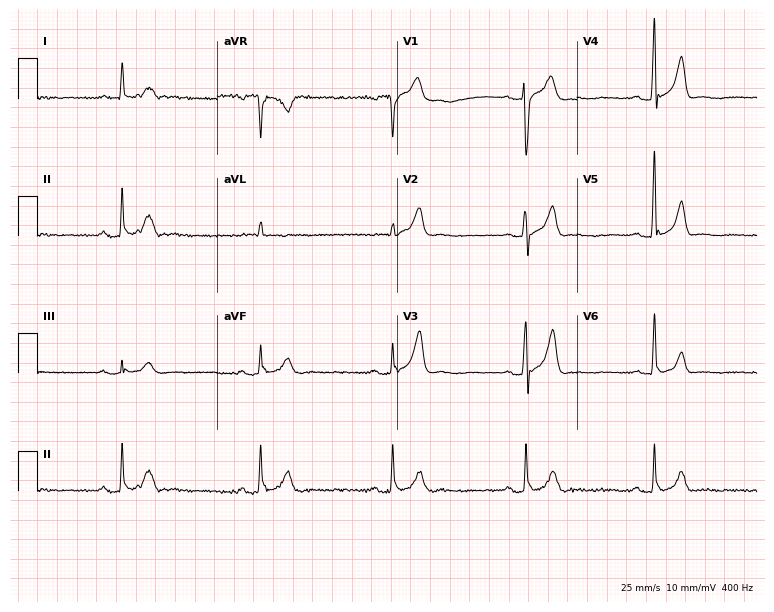
Electrocardiogram (7.3-second recording at 400 Hz), a male patient, 66 years old. Interpretation includes sinus bradycardia (a sinus rate of 50 beats per minute or less).